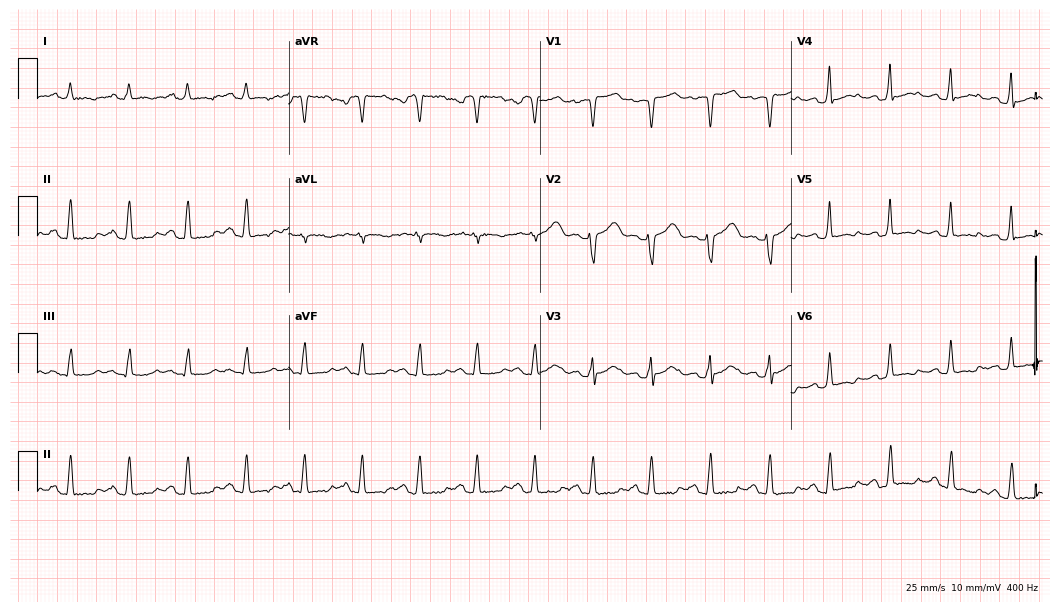
Resting 12-lead electrocardiogram (10.2-second recording at 400 Hz). Patient: a female, 57 years old. None of these six findings is recorded: first-degree AV block, right bundle branch block, left bundle branch block, sinus bradycardia, atrial fibrillation, sinus tachycardia.